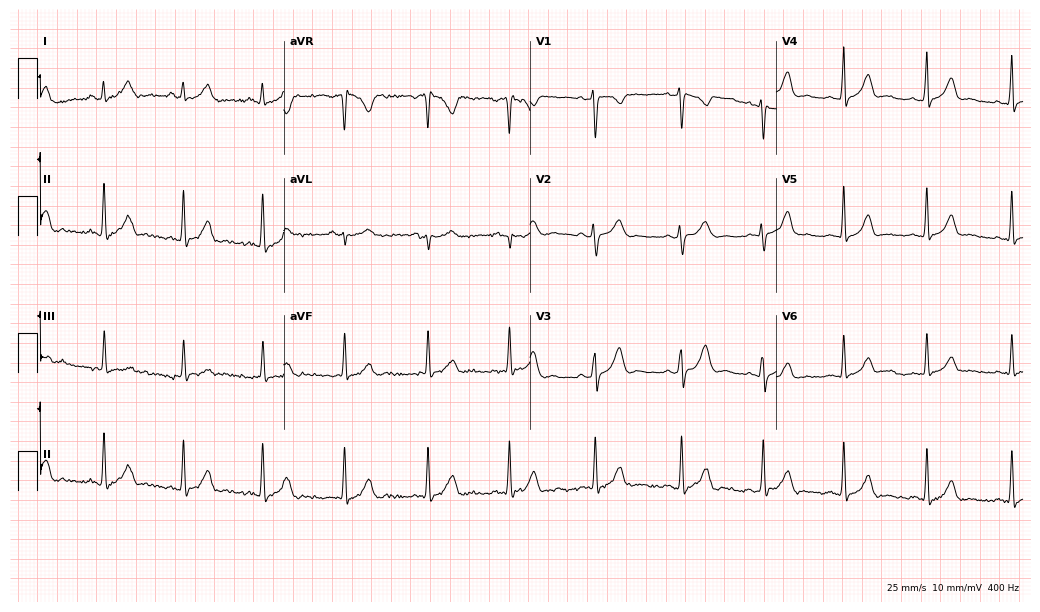
Standard 12-lead ECG recorded from a female, 28 years old (10-second recording at 400 Hz). Read as a normal ECG.